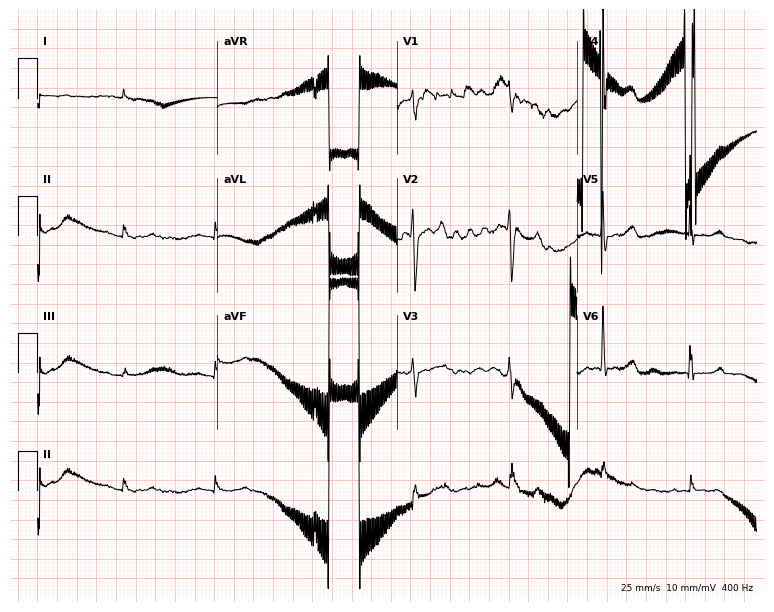
Resting 12-lead electrocardiogram (7.3-second recording at 400 Hz). Patient: a 66-year-old male. None of these six findings is recorded: first-degree AV block, right bundle branch block (RBBB), left bundle branch block (LBBB), sinus bradycardia, atrial fibrillation (AF), sinus tachycardia.